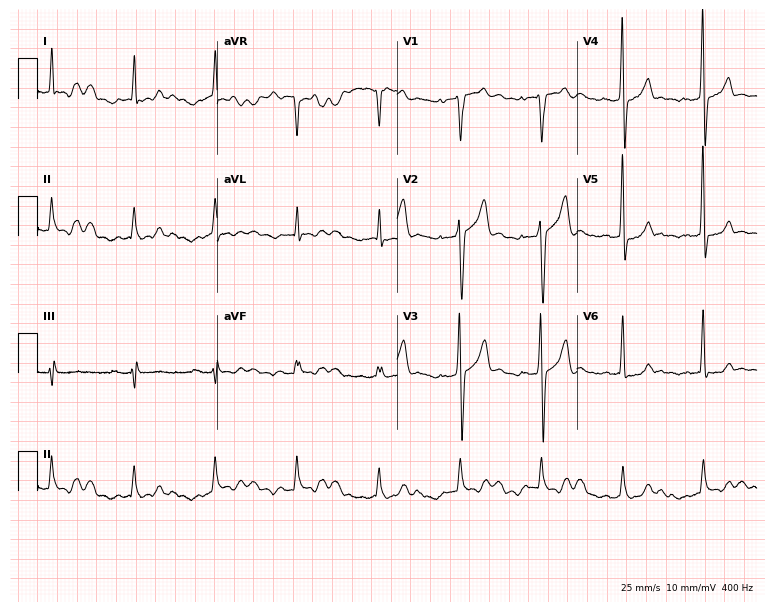
ECG (7.3-second recording at 400 Hz) — a man, 69 years old. Screened for six findings — first-degree AV block, right bundle branch block, left bundle branch block, sinus bradycardia, atrial fibrillation, sinus tachycardia — none is recorded. Only these six findings were labelled.